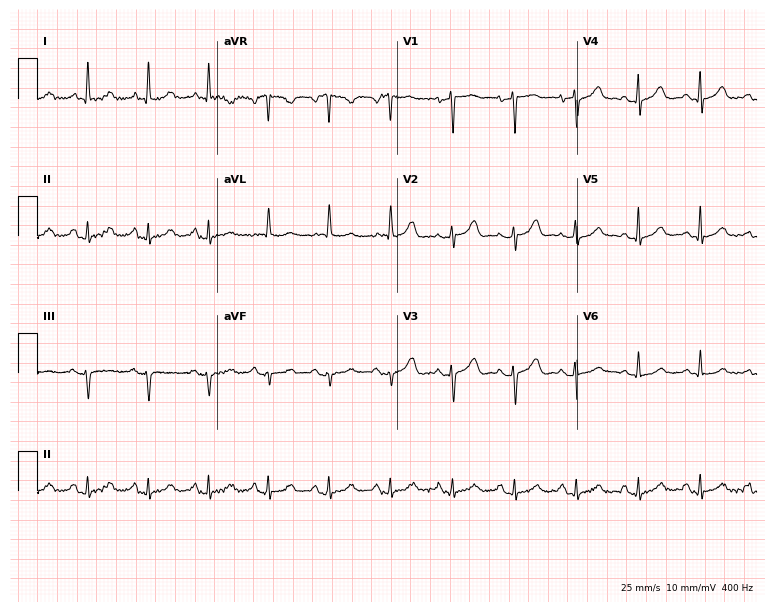
Electrocardiogram (7.3-second recording at 400 Hz), a woman, 70 years old. Overall reading on record: normal ECG.